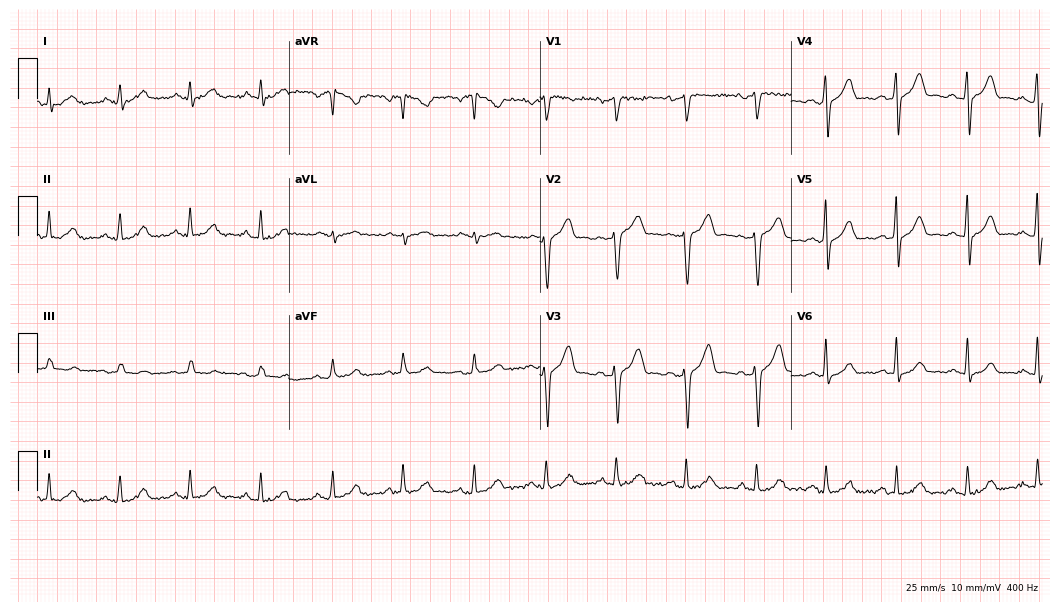
Resting 12-lead electrocardiogram (10.2-second recording at 400 Hz). Patient: a male, 53 years old. Read as a normal ECG.